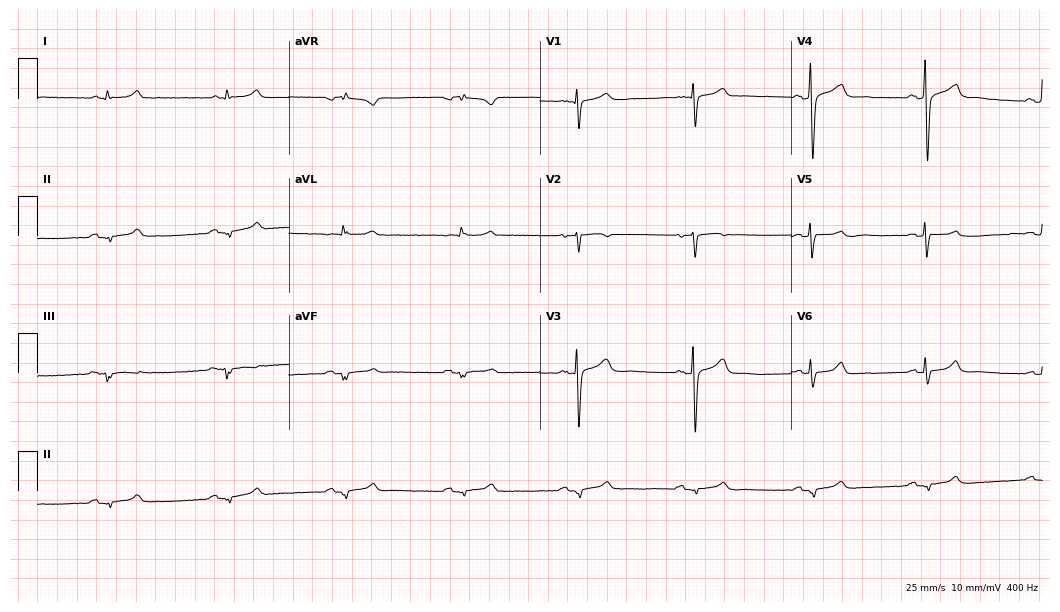
Resting 12-lead electrocardiogram (10.2-second recording at 400 Hz). Patient: a 73-year-old male. None of these six findings is recorded: first-degree AV block, right bundle branch block, left bundle branch block, sinus bradycardia, atrial fibrillation, sinus tachycardia.